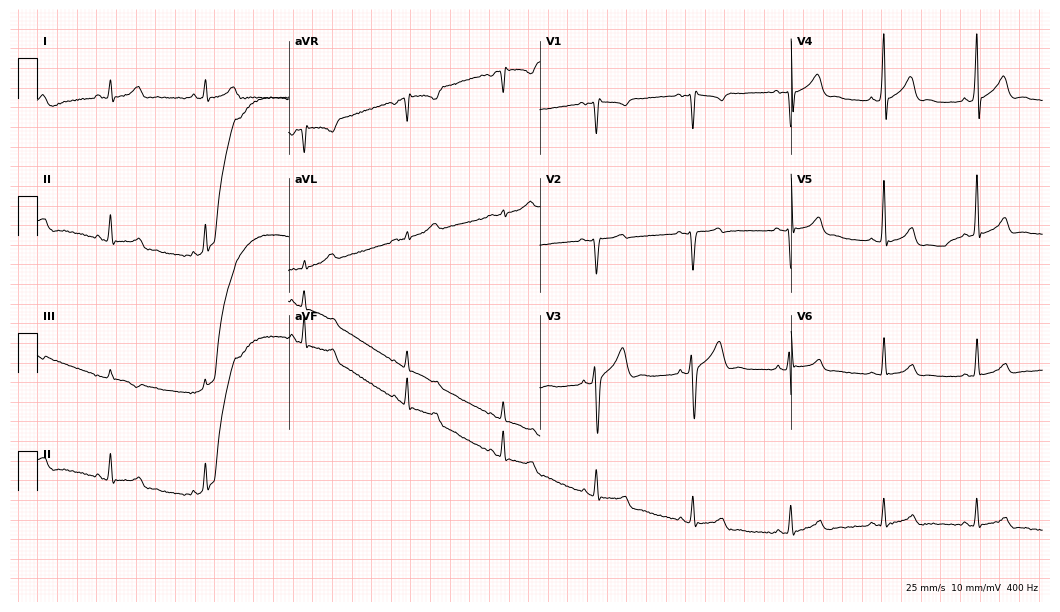
ECG (10.2-second recording at 400 Hz) — a male, 30 years old. Screened for six findings — first-degree AV block, right bundle branch block, left bundle branch block, sinus bradycardia, atrial fibrillation, sinus tachycardia — none is recorded.